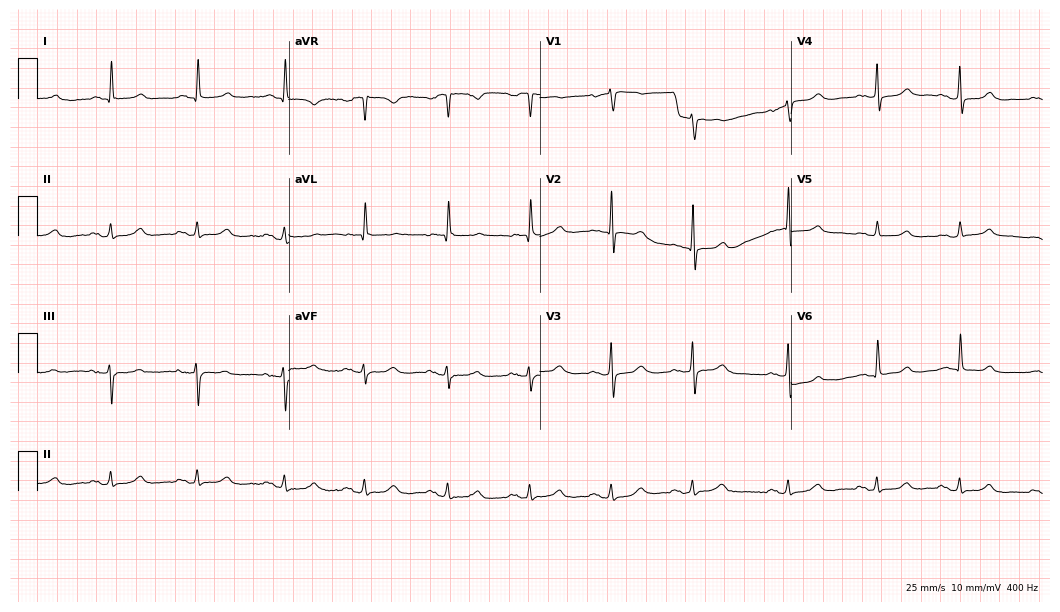
Resting 12-lead electrocardiogram. Patient: a female, 84 years old. None of these six findings is recorded: first-degree AV block, right bundle branch block, left bundle branch block, sinus bradycardia, atrial fibrillation, sinus tachycardia.